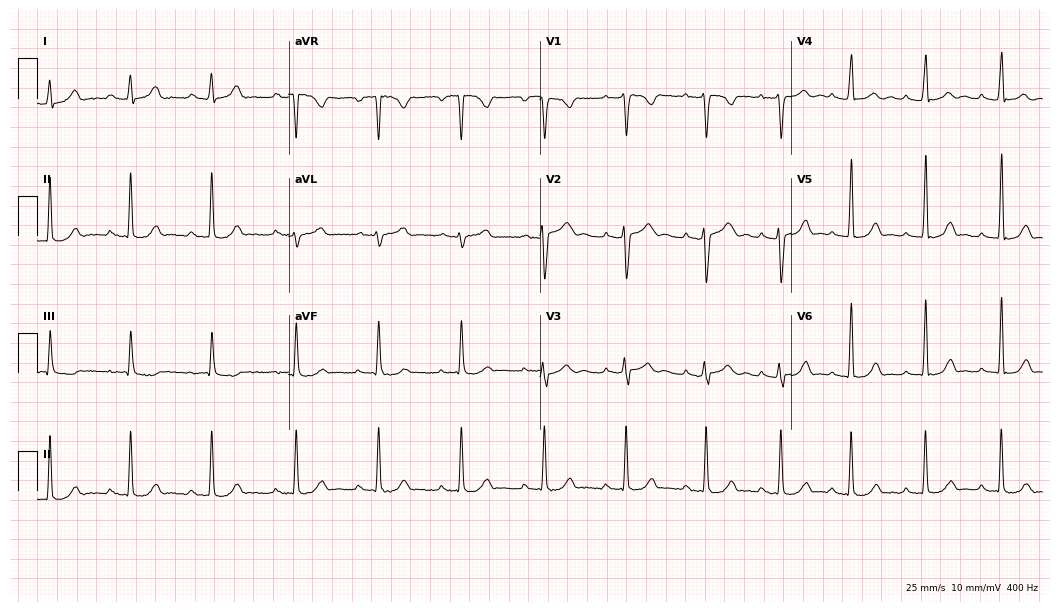
12-lead ECG from a 21-year-old female. Findings include first-degree AV block.